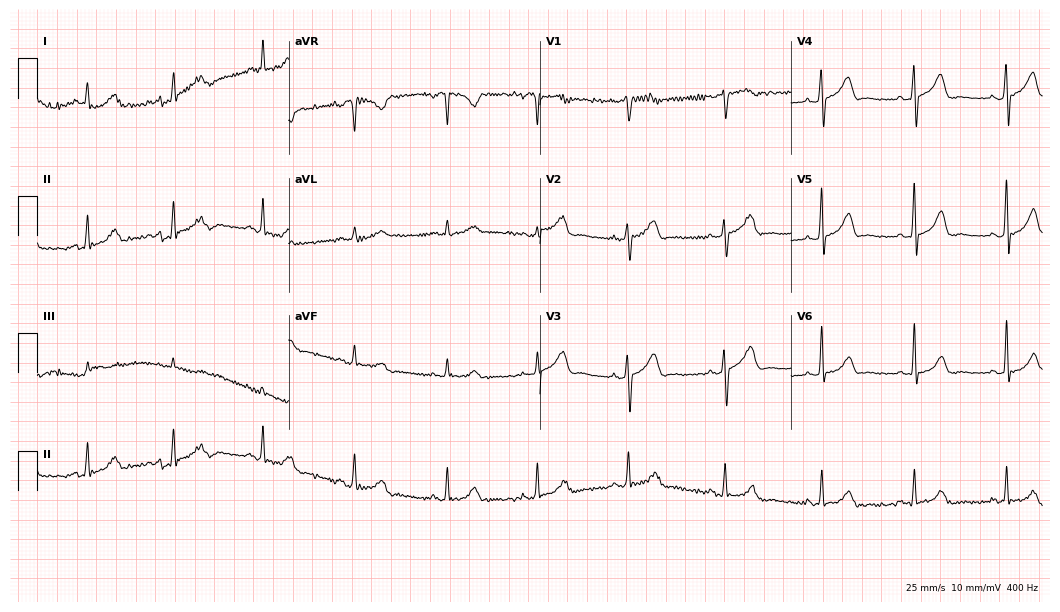
ECG — a 59-year-old woman. Screened for six findings — first-degree AV block, right bundle branch block, left bundle branch block, sinus bradycardia, atrial fibrillation, sinus tachycardia — none is recorded.